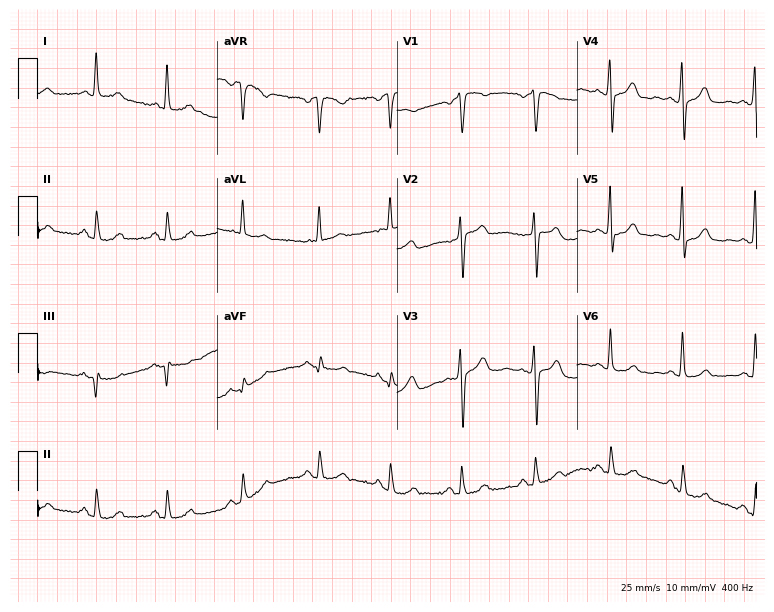
12-lead ECG from a 55-year-old female patient. Screened for six findings — first-degree AV block, right bundle branch block, left bundle branch block, sinus bradycardia, atrial fibrillation, sinus tachycardia — none is recorded.